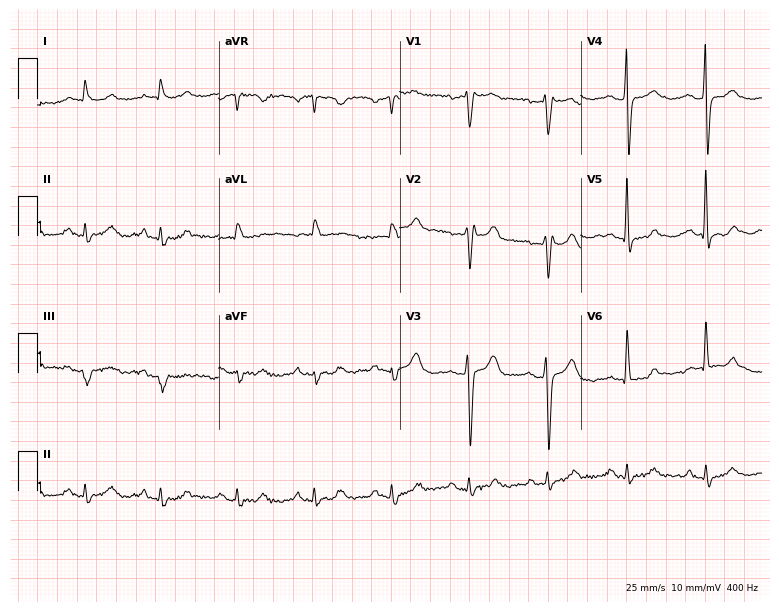
Electrocardiogram (7.4-second recording at 400 Hz), a 69-year-old man. Of the six screened findings (first-degree AV block, right bundle branch block, left bundle branch block, sinus bradycardia, atrial fibrillation, sinus tachycardia), none is recorded. Only these six findings were labelled.